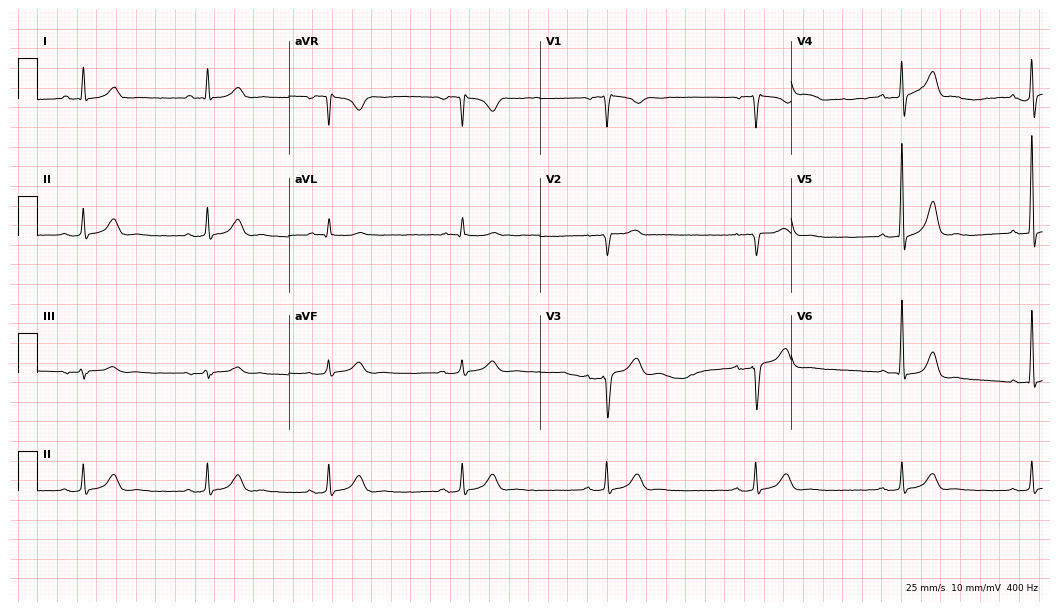
Standard 12-lead ECG recorded from a male patient, 62 years old (10.2-second recording at 400 Hz). The tracing shows sinus bradycardia (a sinus rate of 50 beats per minute or less).